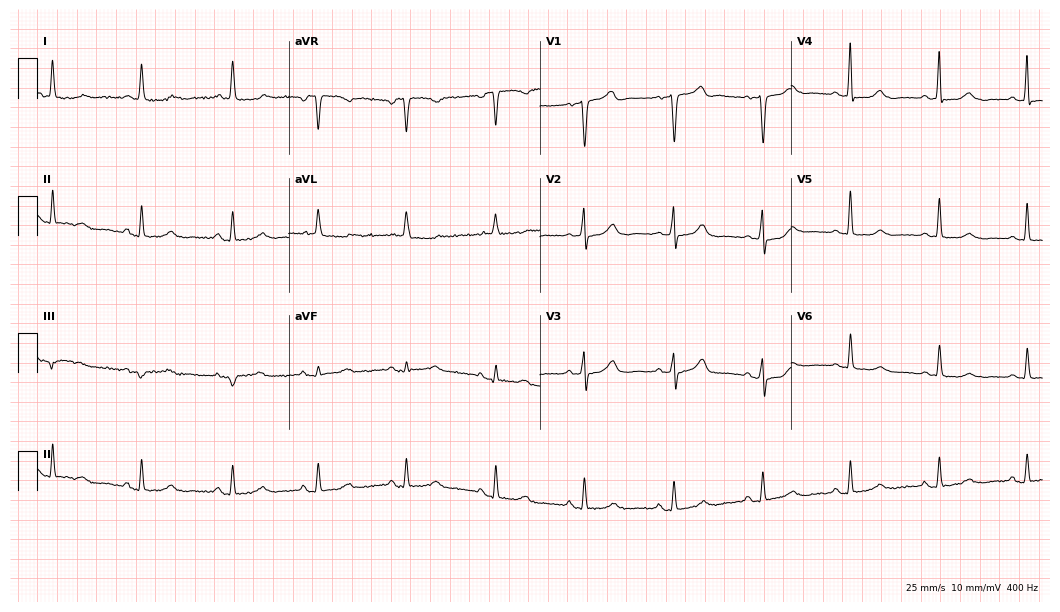
Electrocardiogram, a 77-year-old female. Of the six screened findings (first-degree AV block, right bundle branch block (RBBB), left bundle branch block (LBBB), sinus bradycardia, atrial fibrillation (AF), sinus tachycardia), none is recorded.